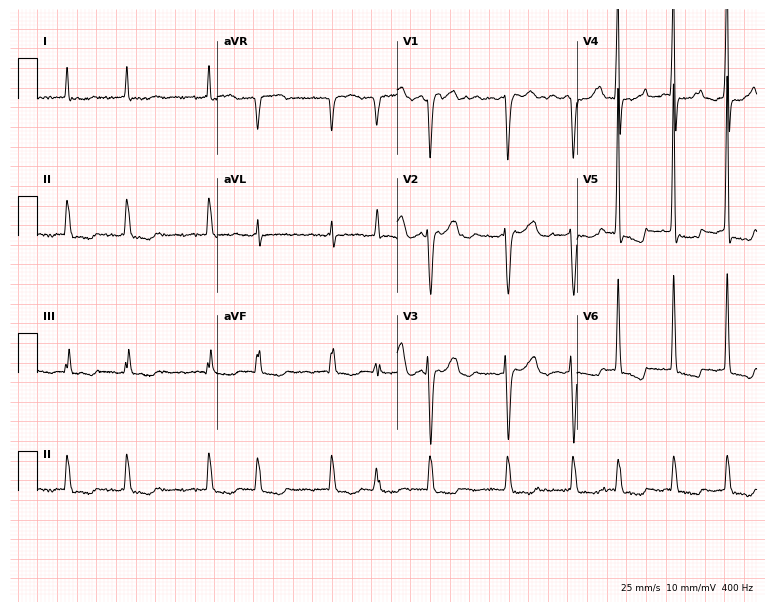
Standard 12-lead ECG recorded from a female, 84 years old (7.3-second recording at 400 Hz). The tracing shows atrial fibrillation.